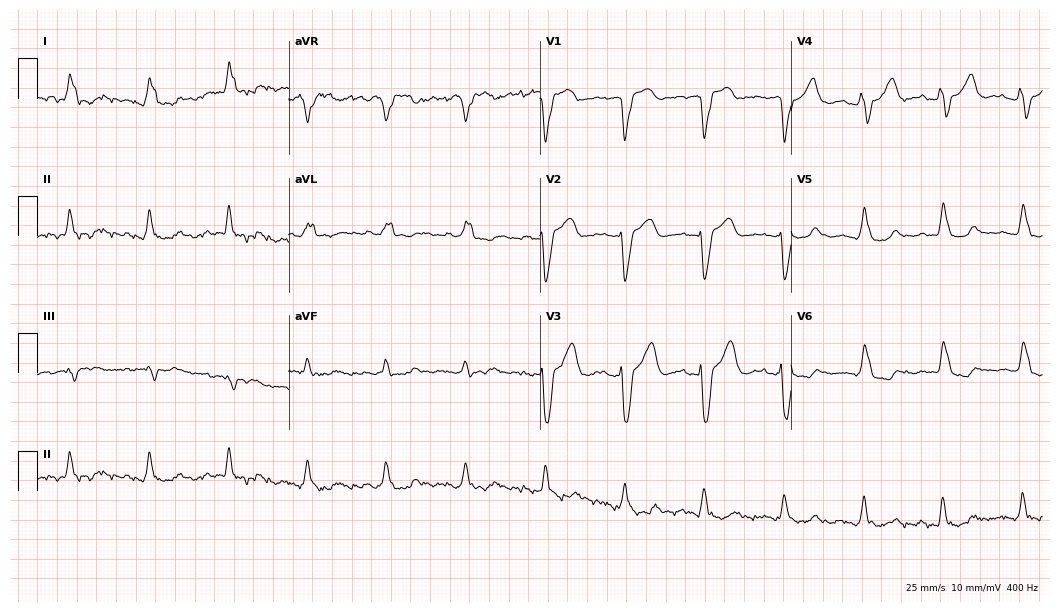
ECG (10.2-second recording at 400 Hz) — a 75-year-old female patient. Findings include left bundle branch block (LBBB).